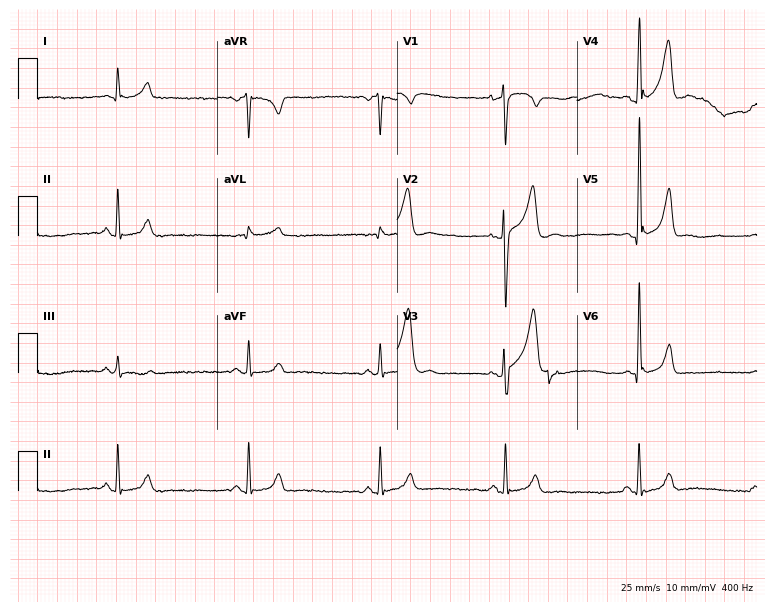
Standard 12-lead ECG recorded from a male patient, 36 years old (7.3-second recording at 400 Hz). The tracing shows sinus bradycardia (a sinus rate of 50 beats per minute or less).